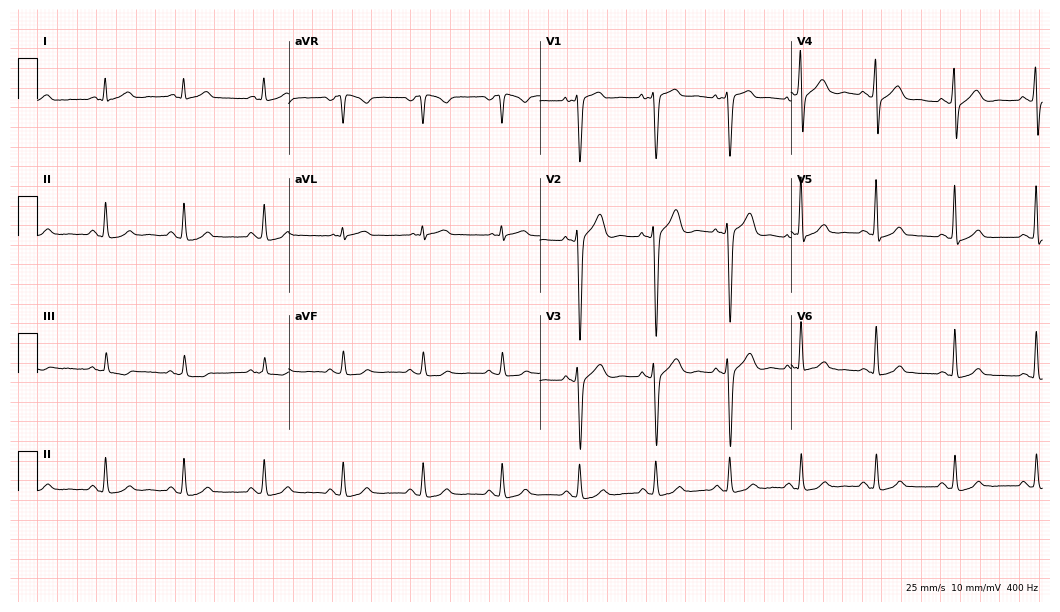
Resting 12-lead electrocardiogram (10.2-second recording at 400 Hz). Patient: a man, 48 years old. Read as a normal ECG.